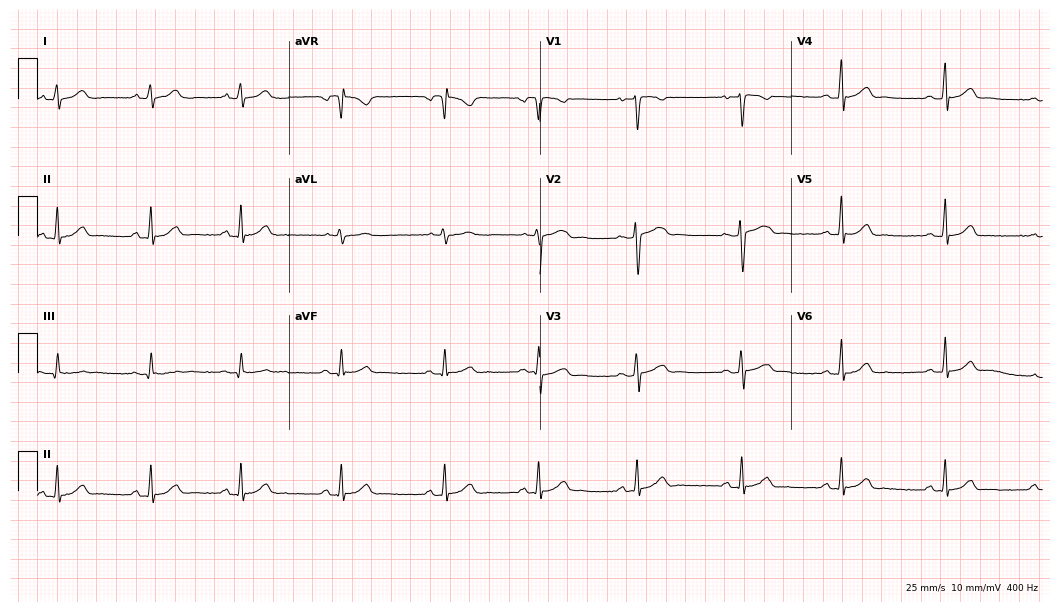
ECG (10.2-second recording at 400 Hz) — a woman, 17 years old. Labelled as a normal ECG.